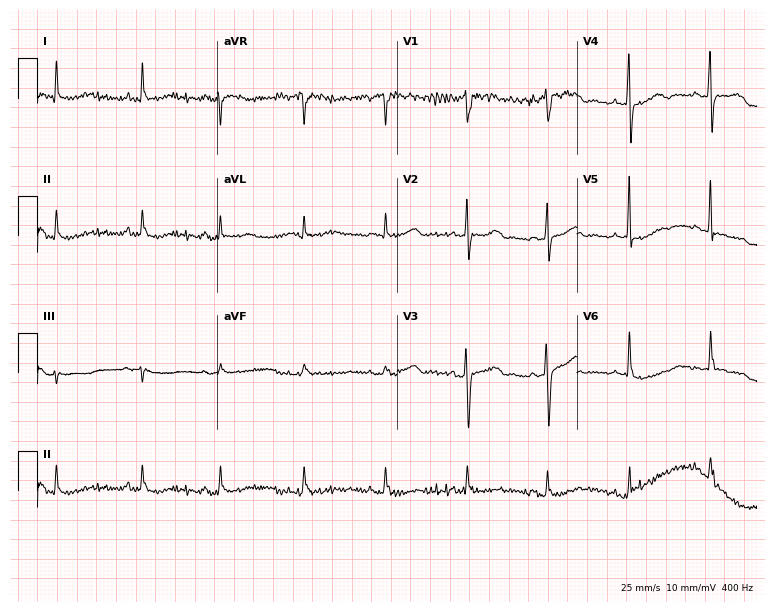
Electrocardiogram, a female patient, 74 years old. Of the six screened findings (first-degree AV block, right bundle branch block, left bundle branch block, sinus bradycardia, atrial fibrillation, sinus tachycardia), none is recorded. Only these six findings were labelled.